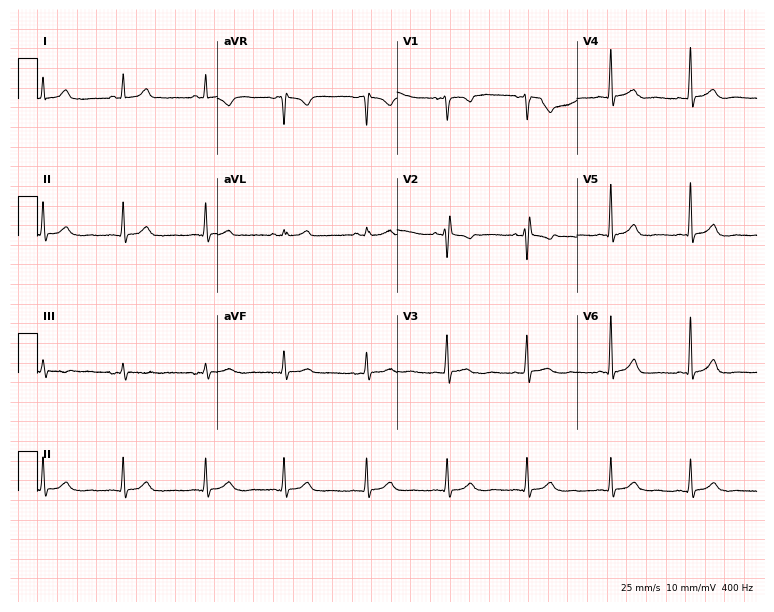
12-lead ECG from a female patient, 31 years old. No first-degree AV block, right bundle branch block (RBBB), left bundle branch block (LBBB), sinus bradycardia, atrial fibrillation (AF) or sinus tachycardia recorded for this tracing. Only these six findings were labelled.